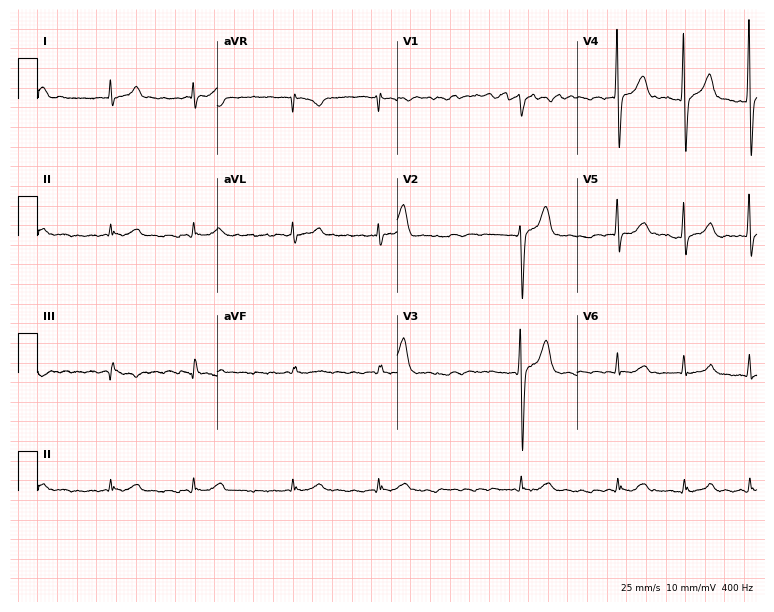
Electrocardiogram, a male, 57 years old. Interpretation includes atrial fibrillation (AF).